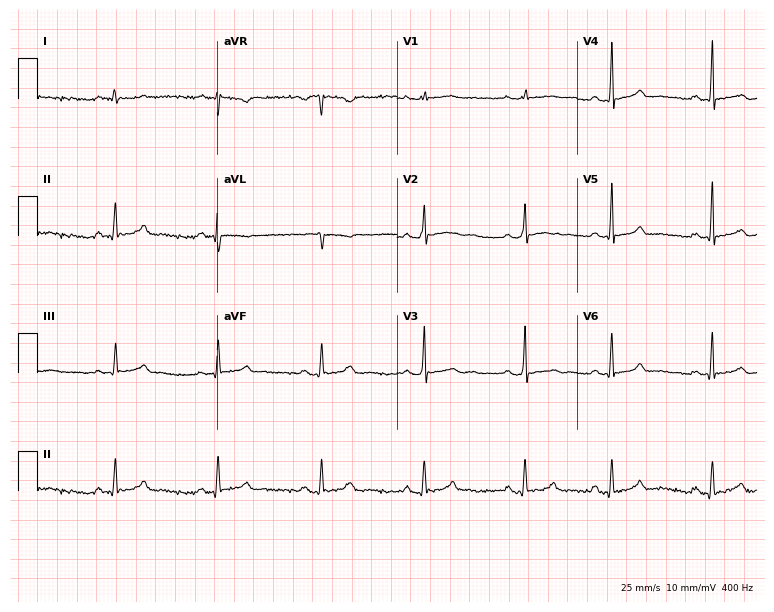
Standard 12-lead ECG recorded from a female patient, 44 years old. Read as a normal ECG.